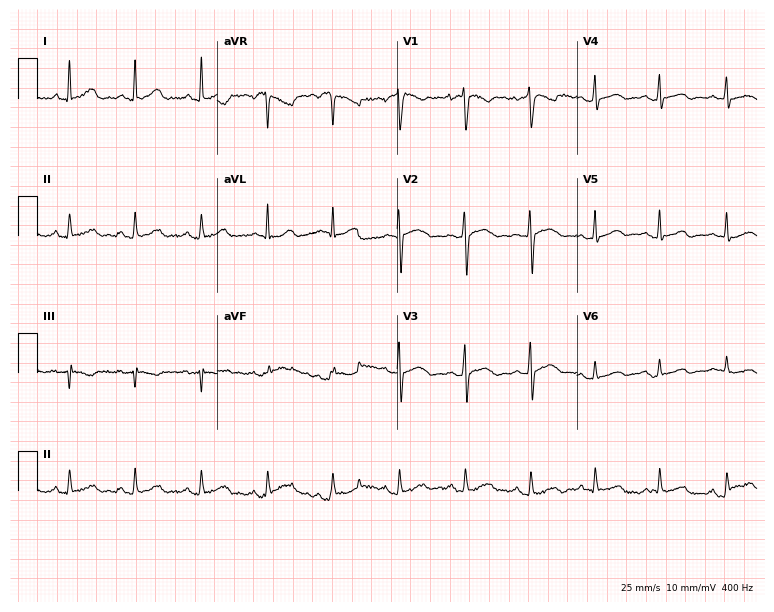
Standard 12-lead ECG recorded from a woman, 32 years old. None of these six findings is recorded: first-degree AV block, right bundle branch block (RBBB), left bundle branch block (LBBB), sinus bradycardia, atrial fibrillation (AF), sinus tachycardia. Only these six findings were labelled.